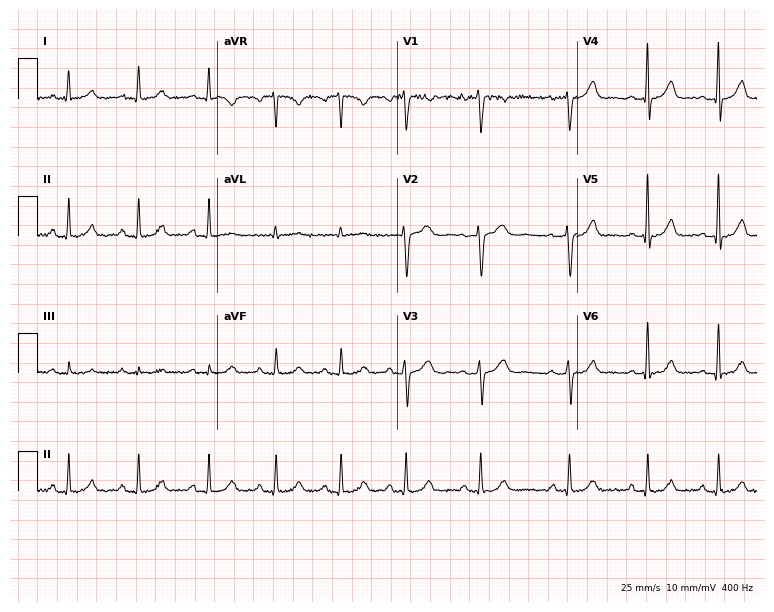
Standard 12-lead ECG recorded from a 32-year-old woman (7.3-second recording at 400 Hz). Read as a normal ECG.